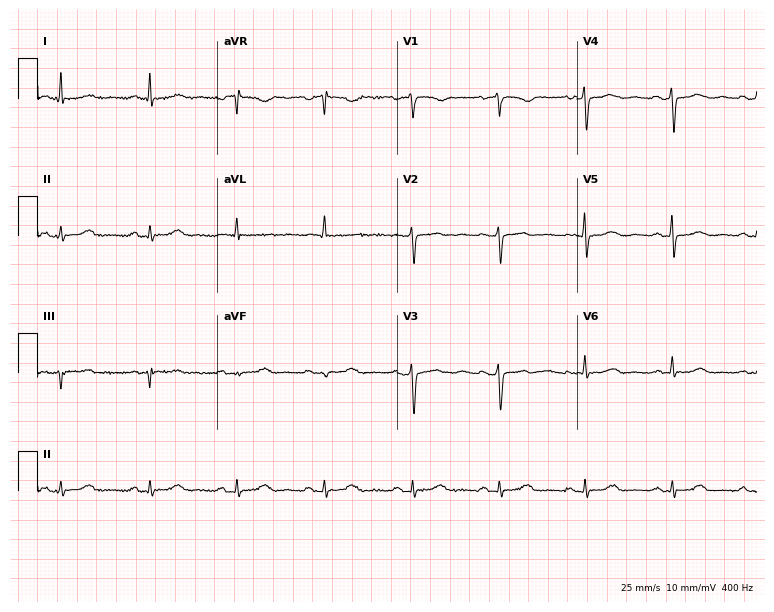
Resting 12-lead electrocardiogram (7.3-second recording at 400 Hz). Patient: a 60-year-old female. None of these six findings is recorded: first-degree AV block, right bundle branch block, left bundle branch block, sinus bradycardia, atrial fibrillation, sinus tachycardia.